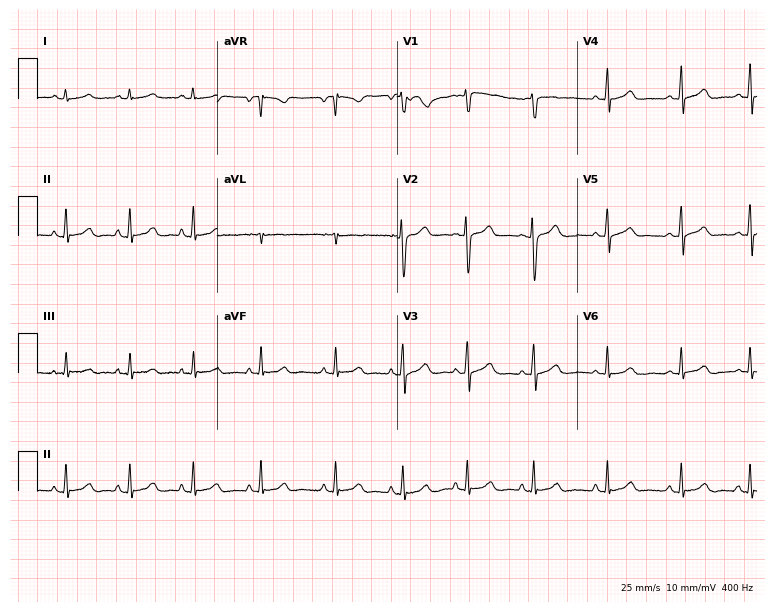
ECG — a female, 20 years old. Screened for six findings — first-degree AV block, right bundle branch block (RBBB), left bundle branch block (LBBB), sinus bradycardia, atrial fibrillation (AF), sinus tachycardia — none is recorded. Findings outside these six are not listed.